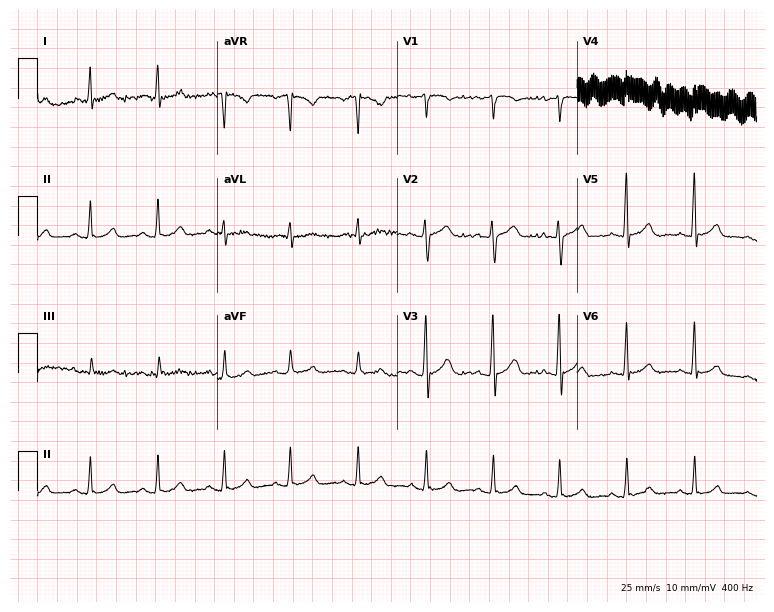
12-lead ECG from a female, 80 years old. Recorded interpretation: within normal limits.